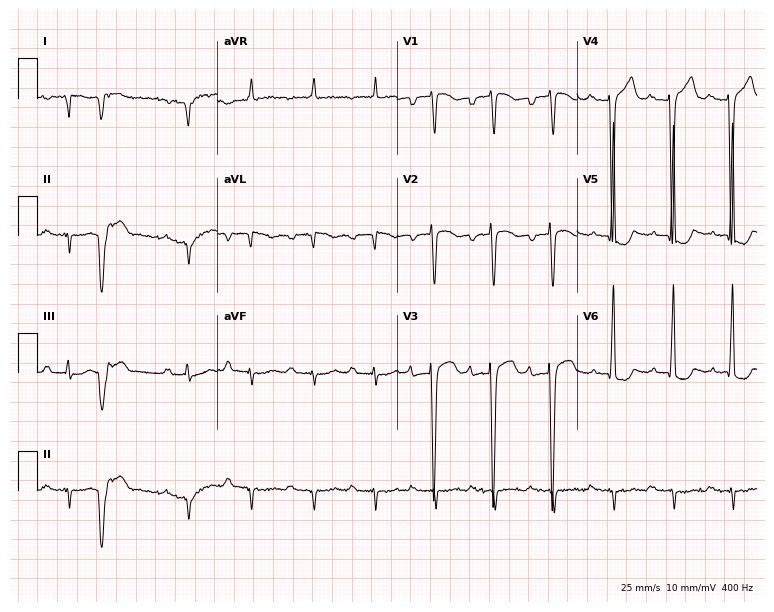
12-lead ECG (7.3-second recording at 400 Hz) from an 84-year-old female. Screened for six findings — first-degree AV block, right bundle branch block, left bundle branch block, sinus bradycardia, atrial fibrillation, sinus tachycardia — none is recorded. Findings outside these six are not listed.